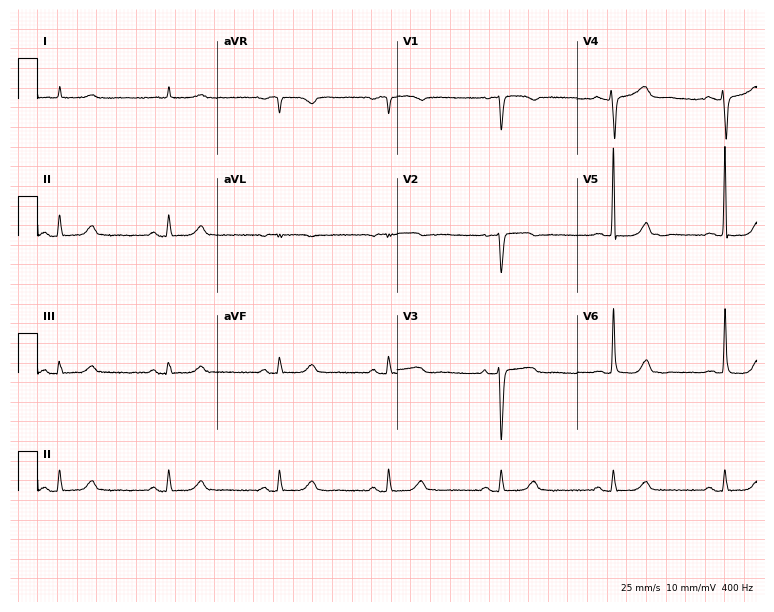
Electrocardiogram, an 83-year-old female. Of the six screened findings (first-degree AV block, right bundle branch block (RBBB), left bundle branch block (LBBB), sinus bradycardia, atrial fibrillation (AF), sinus tachycardia), none is recorded.